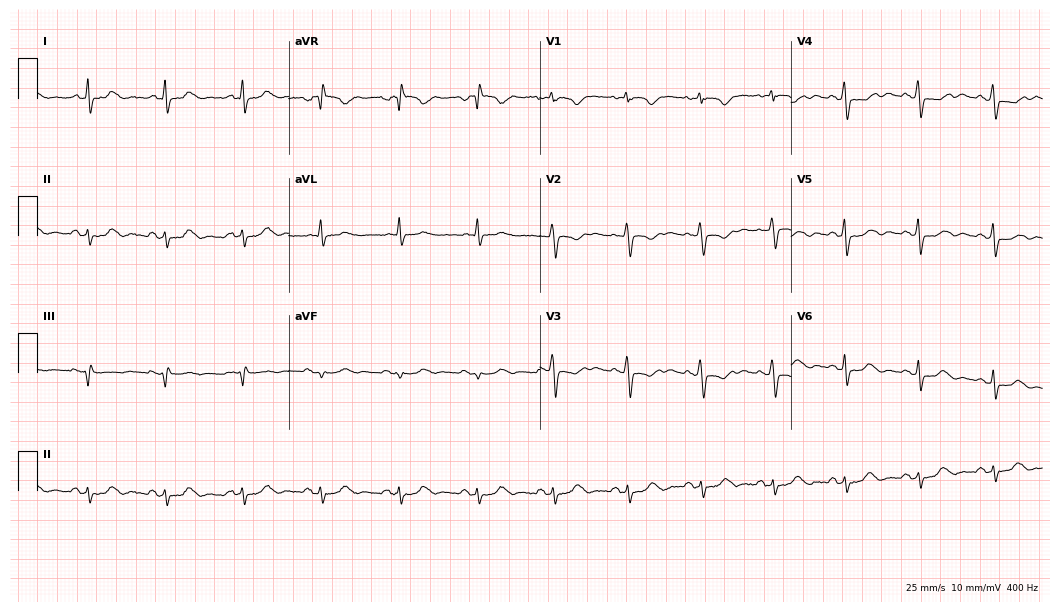
Resting 12-lead electrocardiogram (10.2-second recording at 400 Hz). Patient: a 47-year-old female. None of these six findings is recorded: first-degree AV block, right bundle branch block, left bundle branch block, sinus bradycardia, atrial fibrillation, sinus tachycardia.